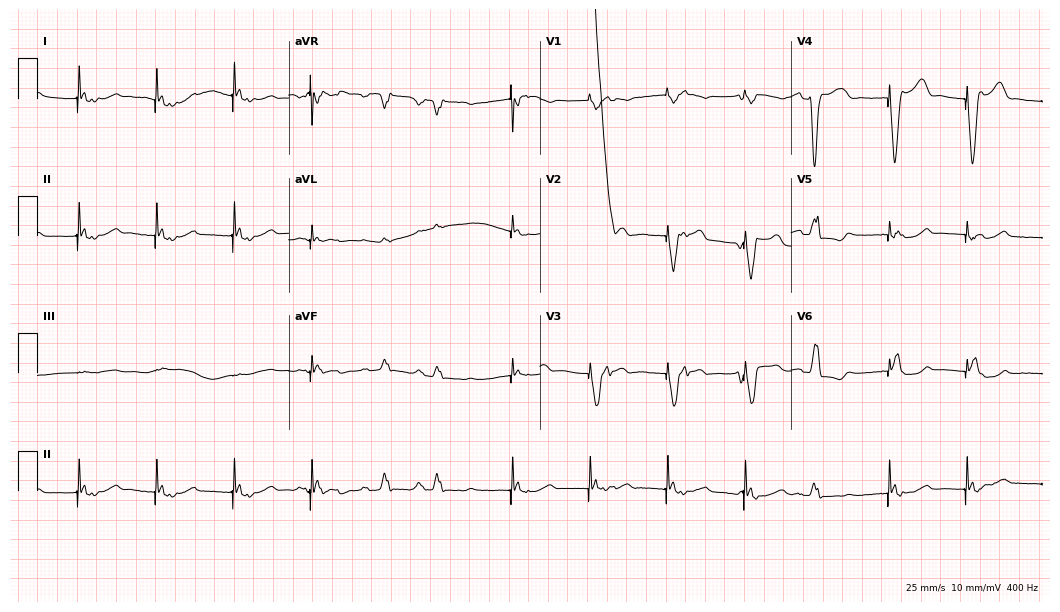
Electrocardiogram, an 88-year-old woman. Of the six screened findings (first-degree AV block, right bundle branch block (RBBB), left bundle branch block (LBBB), sinus bradycardia, atrial fibrillation (AF), sinus tachycardia), none is recorded.